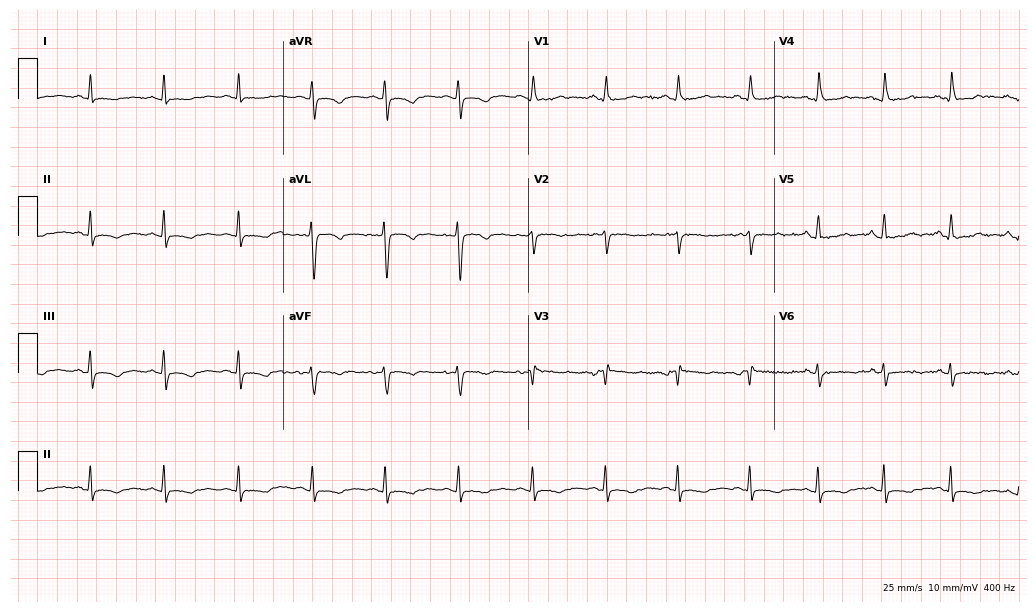
12-lead ECG from a 40-year-old female (10-second recording at 400 Hz). No first-degree AV block, right bundle branch block, left bundle branch block, sinus bradycardia, atrial fibrillation or sinus tachycardia recorded for this tracing. Findings outside these six are not listed.